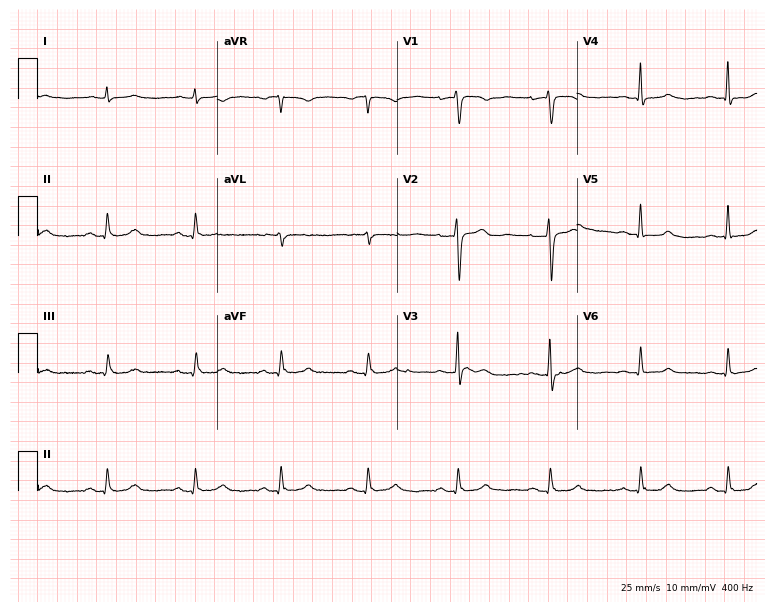
ECG — a woman, 51 years old. Screened for six findings — first-degree AV block, right bundle branch block (RBBB), left bundle branch block (LBBB), sinus bradycardia, atrial fibrillation (AF), sinus tachycardia — none is recorded.